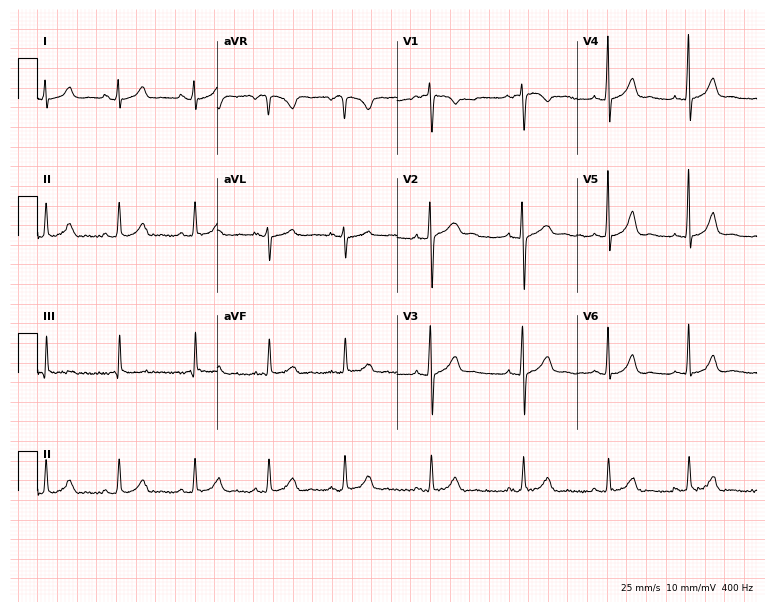
12-lead ECG from a female patient, 27 years old. Recorded interpretation: within normal limits.